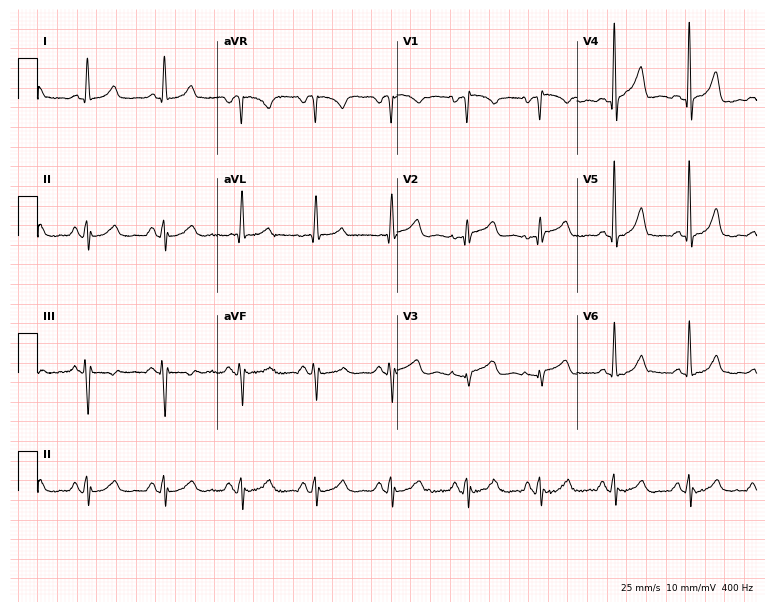
ECG (7.3-second recording at 400 Hz) — a female, 63 years old. Screened for six findings — first-degree AV block, right bundle branch block (RBBB), left bundle branch block (LBBB), sinus bradycardia, atrial fibrillation (AF), sinus tachycardia — none is recorded. Findings outside these six are not listed.